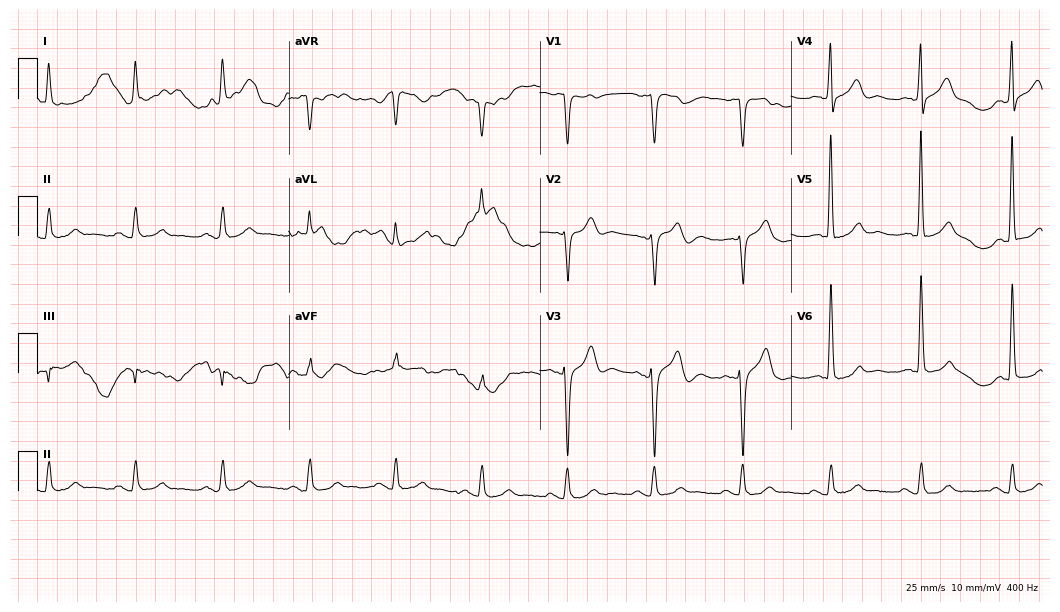
Electrocardiogram, a 72-year-old man. Of the six screened findings (first-degree AV block, right bundle branch block (RBBB), left bundle branch block (LBBB), sinus bradycardia, atrial fibrillation (AF), sinus tachycardia), none is recorded. Only these six findings were labelled.